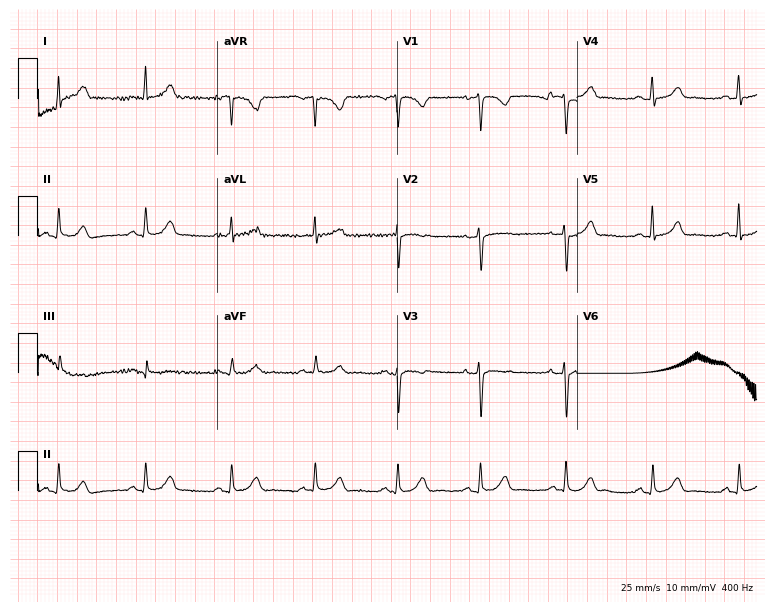
Electrocardiogram (7.3-second recording at 400 Hz), a female, 40 years old. Overall reading on record: normal ECG.